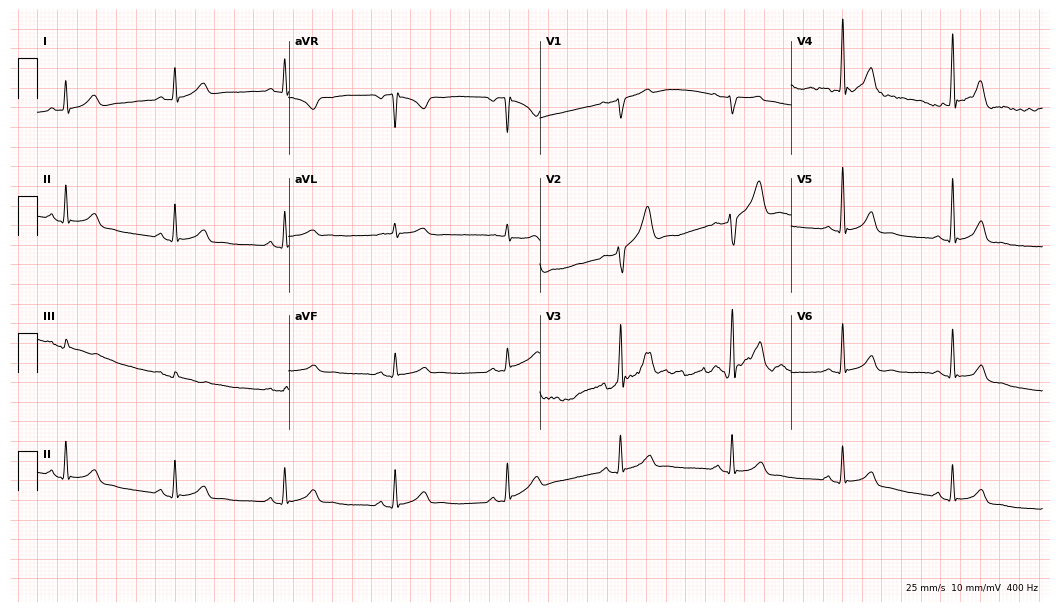
Electrocardiogram, a man, 50 years old. Overall reading on record: normal ECG.